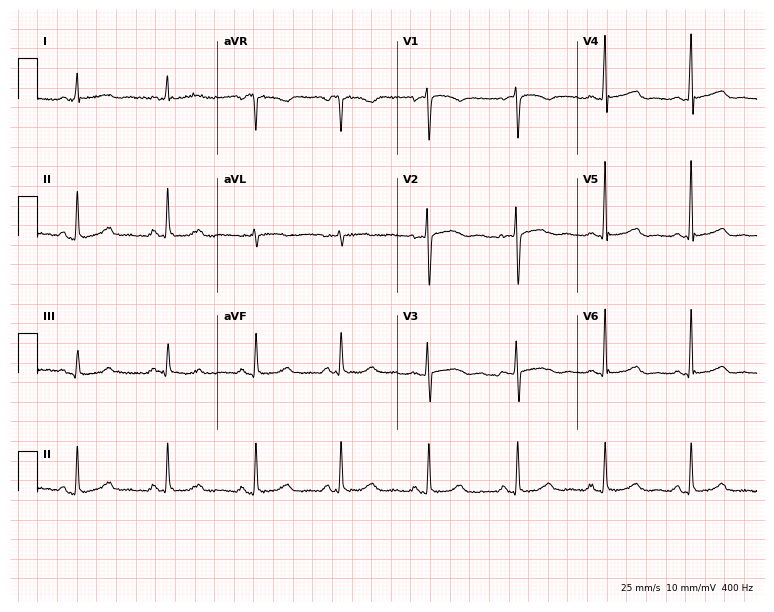
Standard 12-lead ECG recorded from a female, 49 years old (7.3-second recording at 400 Hz). None of these six findings is recorded: first-degree AV block, right bundle branch block (RBBB), left bundle branch block (LBBB), sinus bradycardia, atrial fibrillation (AF), sinus tachycardia.